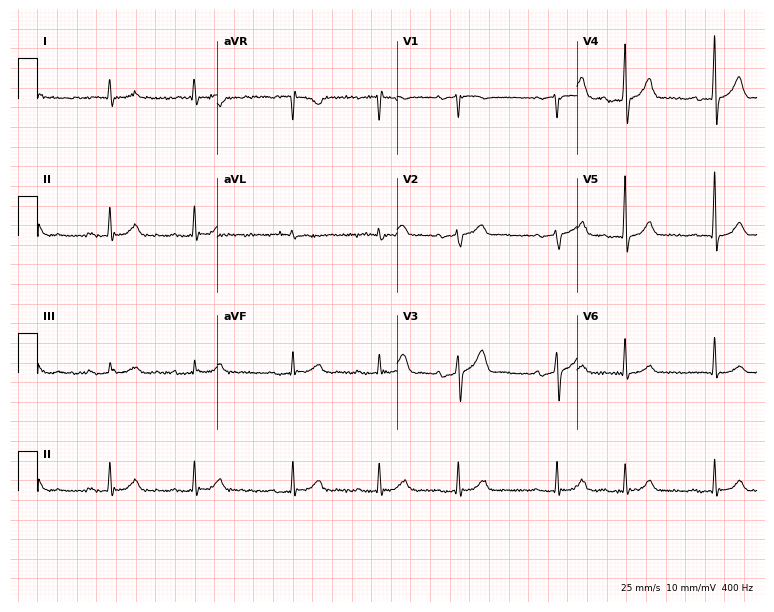
Electrocardiogram (7.3-second recording at 400 Hz), a male, 71 years old. Interpretation includes first-degree AV block, atrial fibrillation (AF).